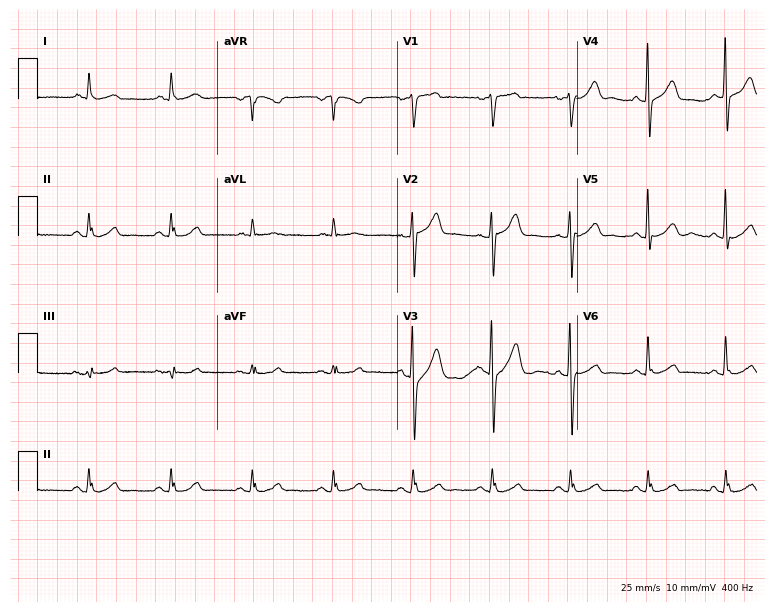
12-lead ECG from a 63-year-old male (7.3-second recording at 400 Hz). Recorded interpretation: within normal limits.